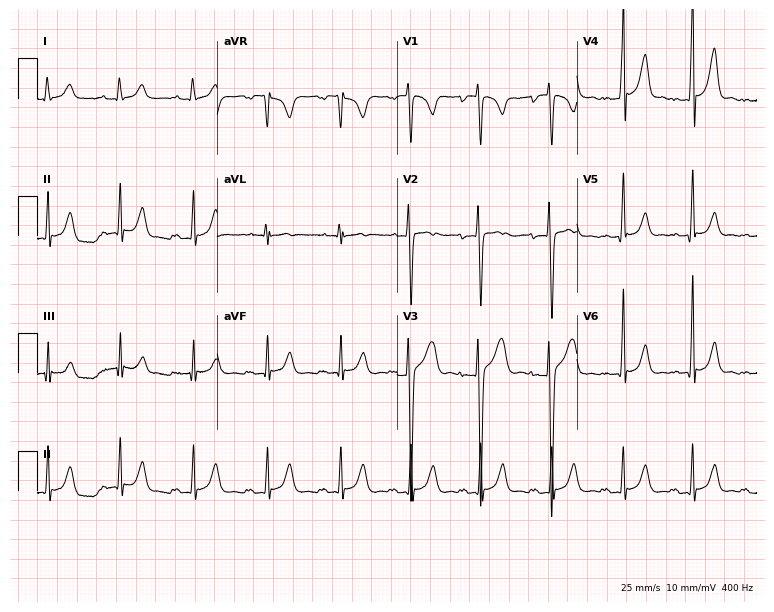
Resting 12-lead electrocardiogram (7.3-second recording at 400 Hz). Patient: a 19-year-old male. Read as a normal ECG.